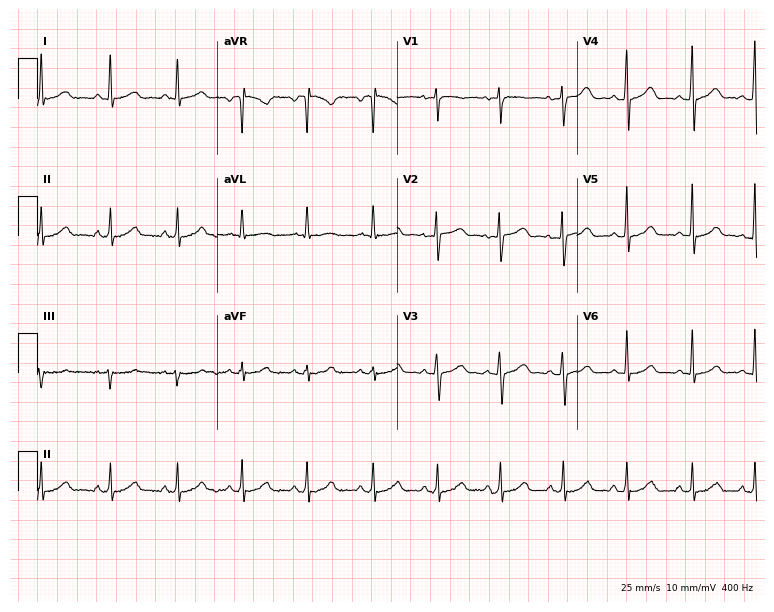
ECG (7.3-second recording at 400 Hz) — a 40-year-old female patient. Labelled as a normal ECG.